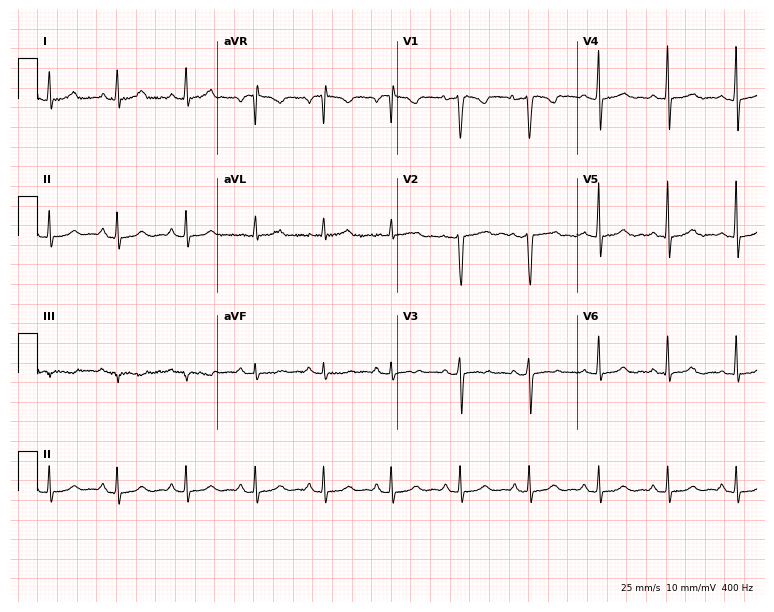
ECG (7.3-second recording at 400 Hz) — a 50-year-old male patient. Screened for six findings — first-degree AV block, right bundle branch block, left bundle branch block, sinus bradycardia, atrial fibrillation, sinus tachycardia — none is recorded. Only these six findings were labelled.